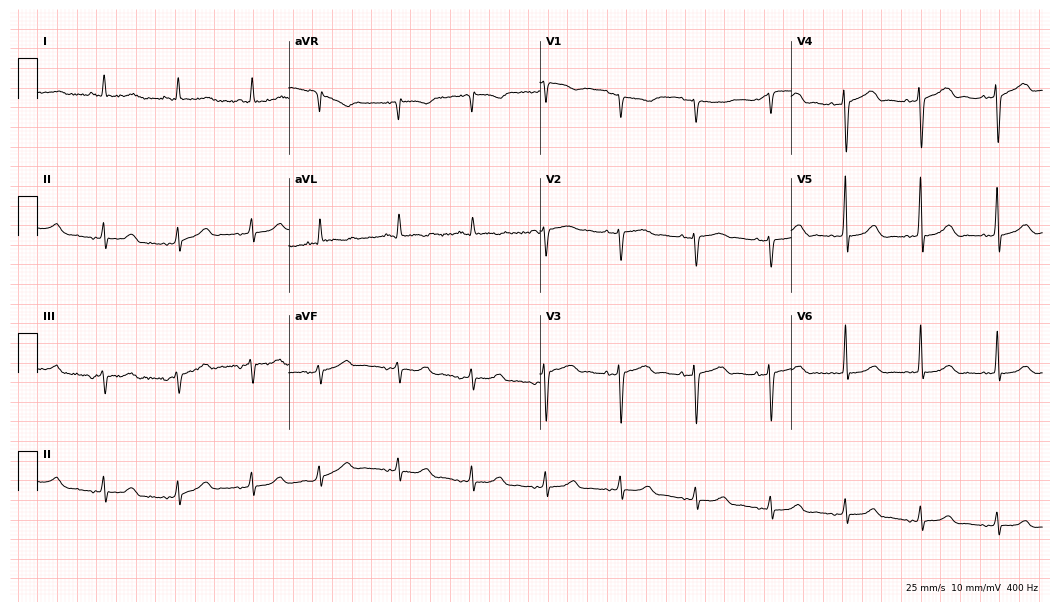
Standard 12-lead ECG recorded from a 78-year-old female (10.2-second recording at 400 Hz). Read as a normal ECG.